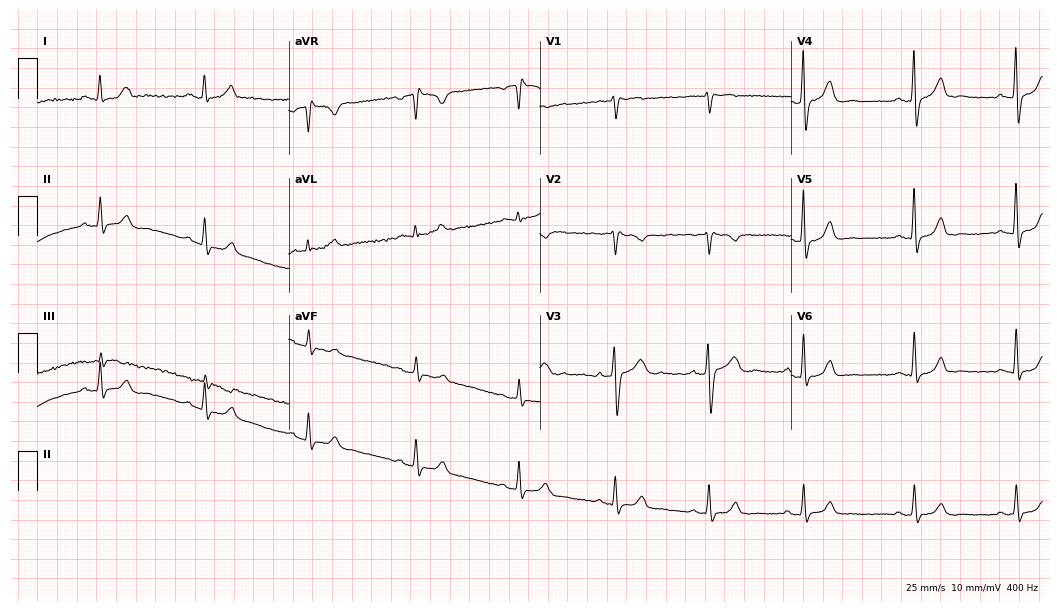
12-lead ECG (10.2-second recording at 400 Hz) from a male patient, 47 years old. Screened for six findings — first-degree AV block, right bundle branch block, left bundle branch block, sinus bradycardia, atrial fibrillation, sinus tachycardia — none is recorded. Findings outside these six are not listed.